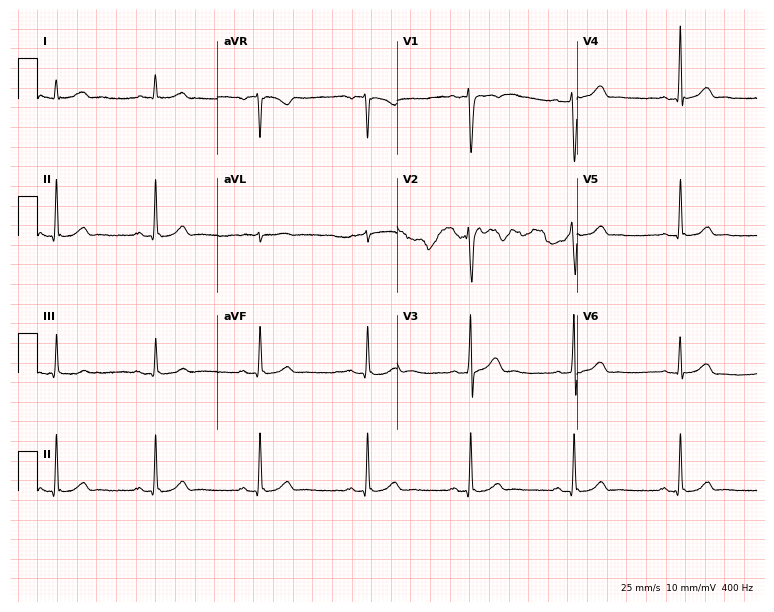
ECG (7.3-second recording at 400 Hz) — a 40-year-old male. Labelled as a normal ECG.